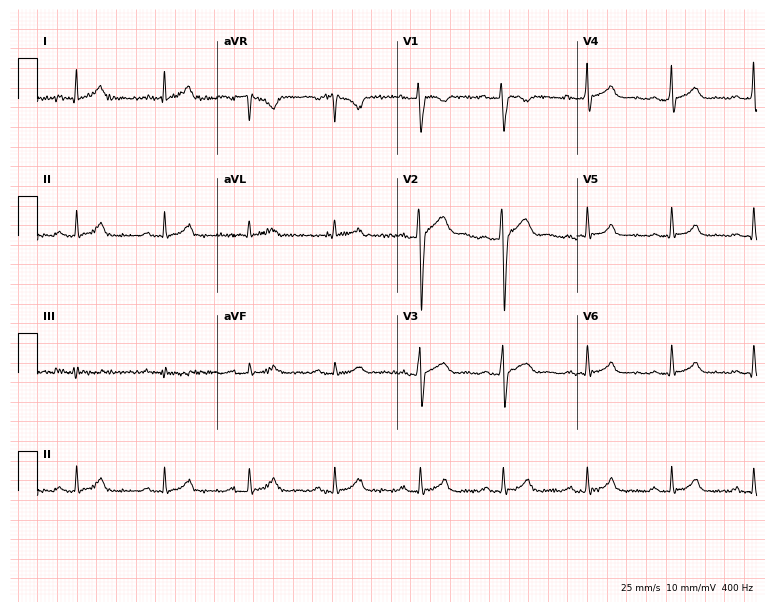
12-lead ECG from a man, 34 years old. Labelled as a normal ECG.